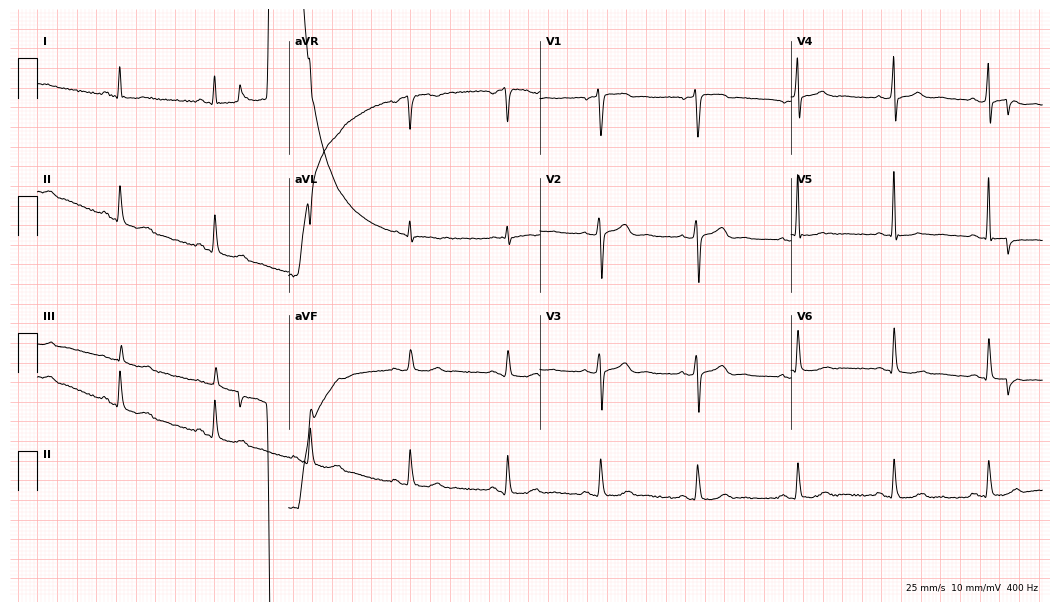
Standard 12-lead ECG recorded from a 44-year-old male. Read as a normal ECG.